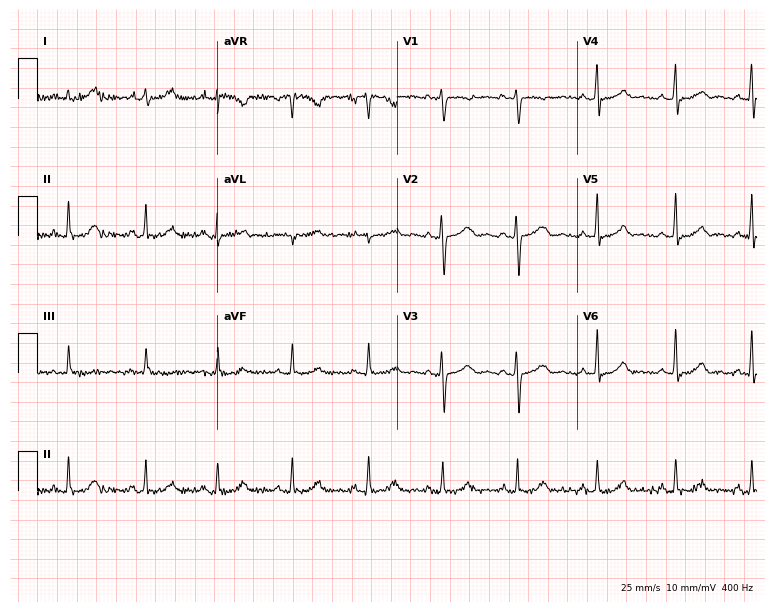
ECG — a 32-year-old female. Screened for six findings — first-degree AV block, right bundle branch block (RBBB), left bundle branch block (LBBB), sinus bradycardia, atrial fibrillation (AF), sinus tachycardia — none is recorded. Only these six findings were labelled.